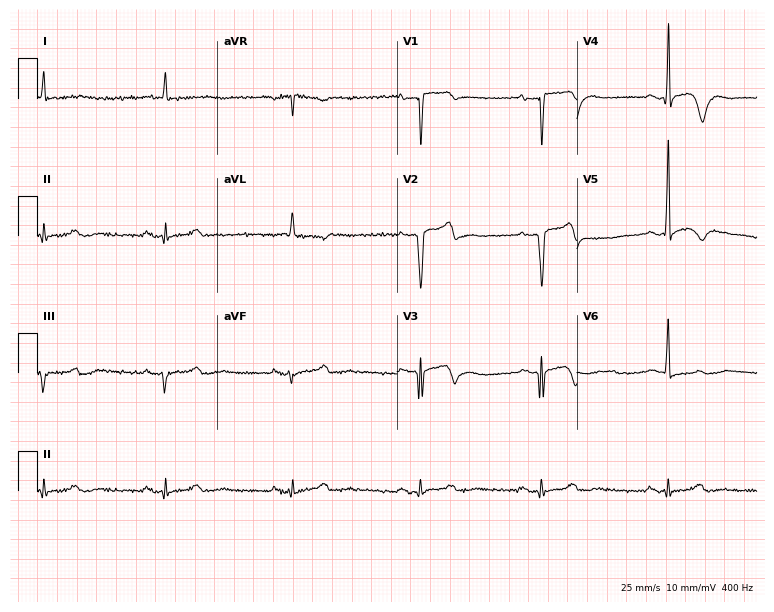
12-lead ECG from an 81-year-old male patient (7.3-second recording at 400 Hz). No first-degree AV block, right bundle branch block (RBBB), left bundle branch block (LBBB), sinus bradycardia, atrial fibrillation (AF) or sinus tachycardia recorded for this tracing.